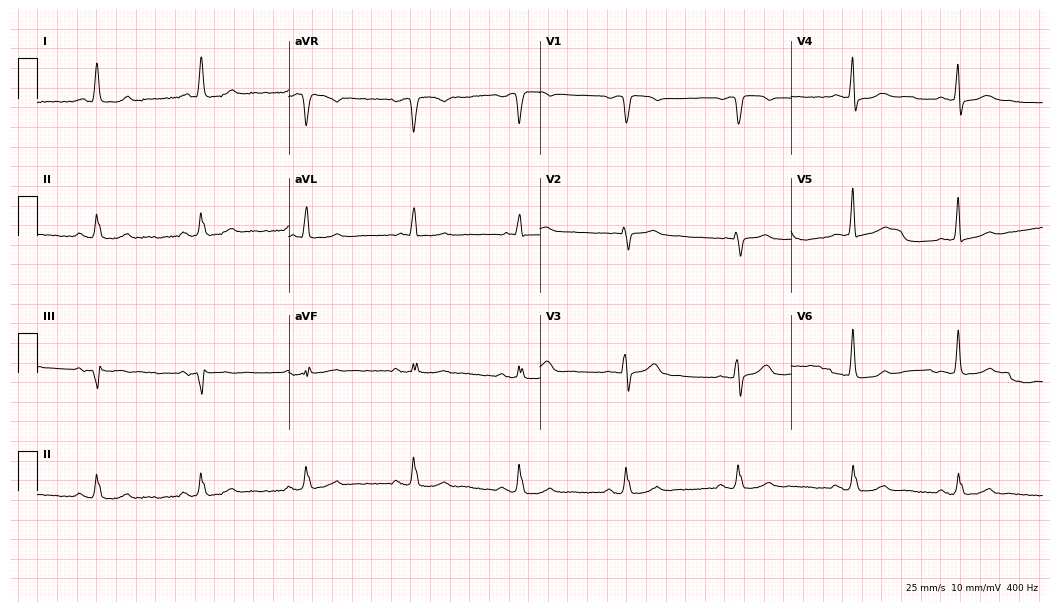
Electrocardiogram, a 79-year-old man. Overall reading on record: normal ECG.